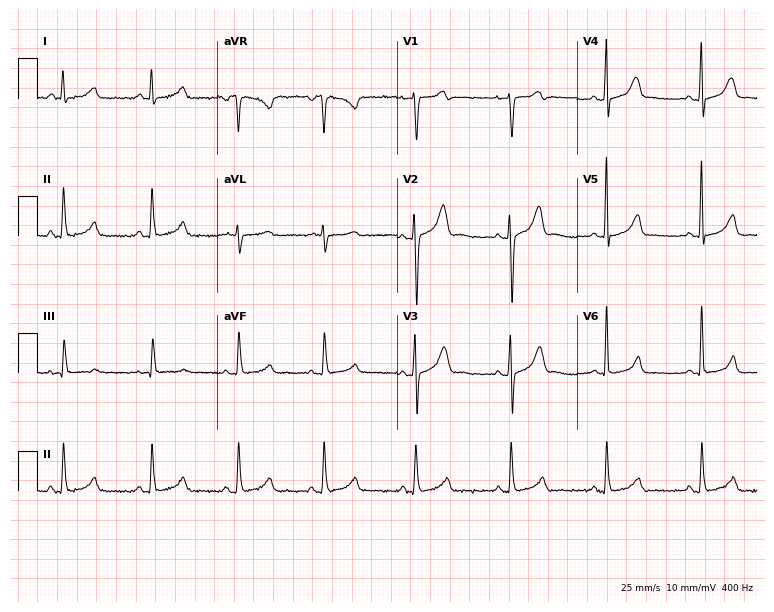
12-lead ECG from a 30-year-old female. Screened for six findings — first-degree AV block, right bundle branch block, left bundle branch block, sinus bradycardia, atrial fibrillation, sinus tachycardia — none is recorded.